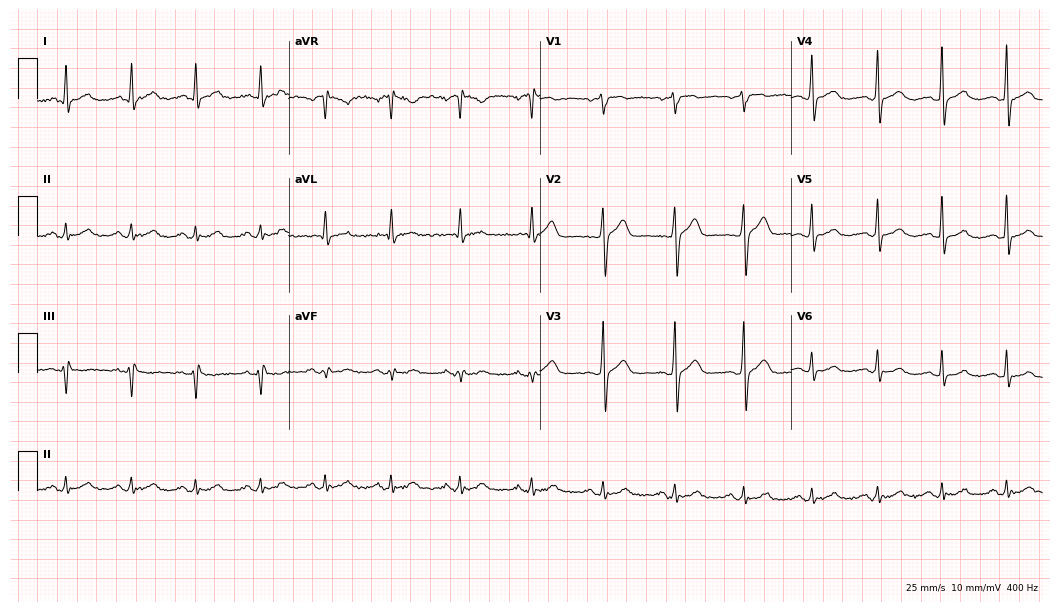
12-lead ECG from a male, 44 years old. Labelled as a normal ECG.